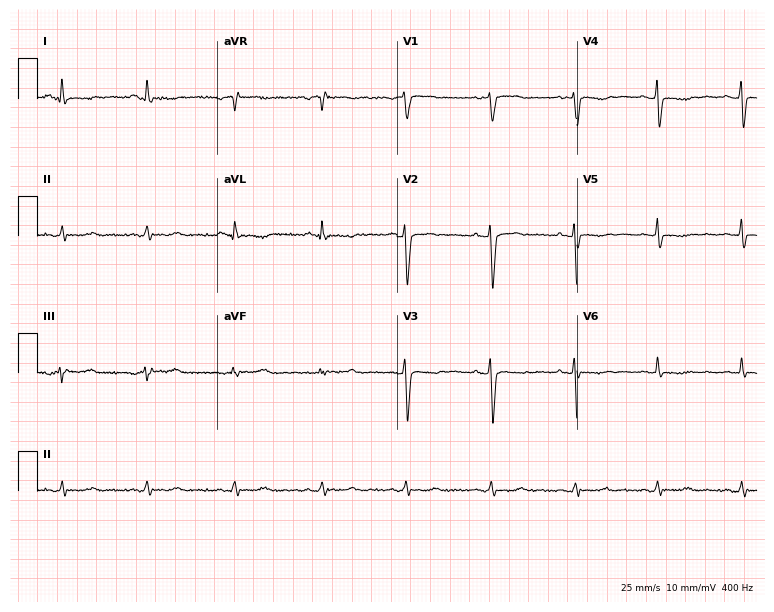
Resting 12-lead electrocardiogram. Patient: a 55-year-old female. None of these six findings is recorded: first-degree AV block, right bundle branch block, left bundle branch block, sinus bradycardia, atrial fibrillation, sinus tachycardia.